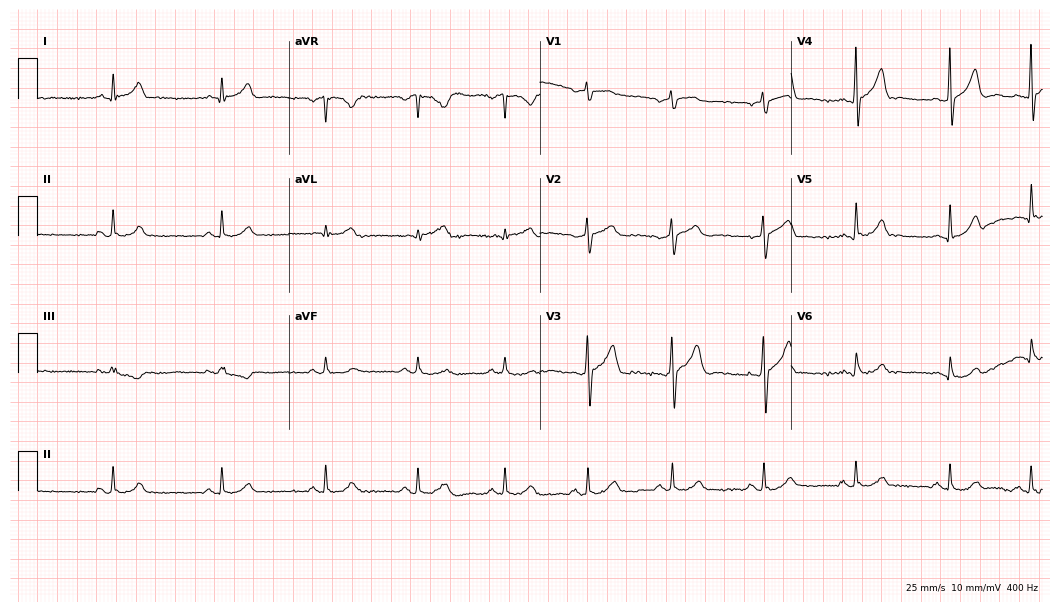
12-lead ECG (10.2-second recording at 400 Hz) from a male, 46 years old. Labelled as a normal ECG.